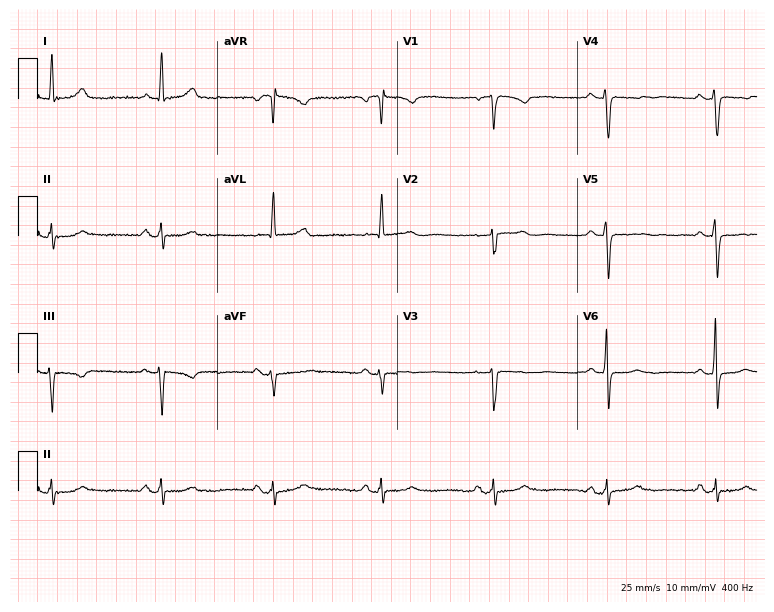
Standard 12-lead ECG recorded from a female patient, 57 years old. None of these six findings is recorded: first-degree AV block, right bundle branch block, left bundle branch block, sinus bradycardia, atrial fibrillation, sinus tachycardia.